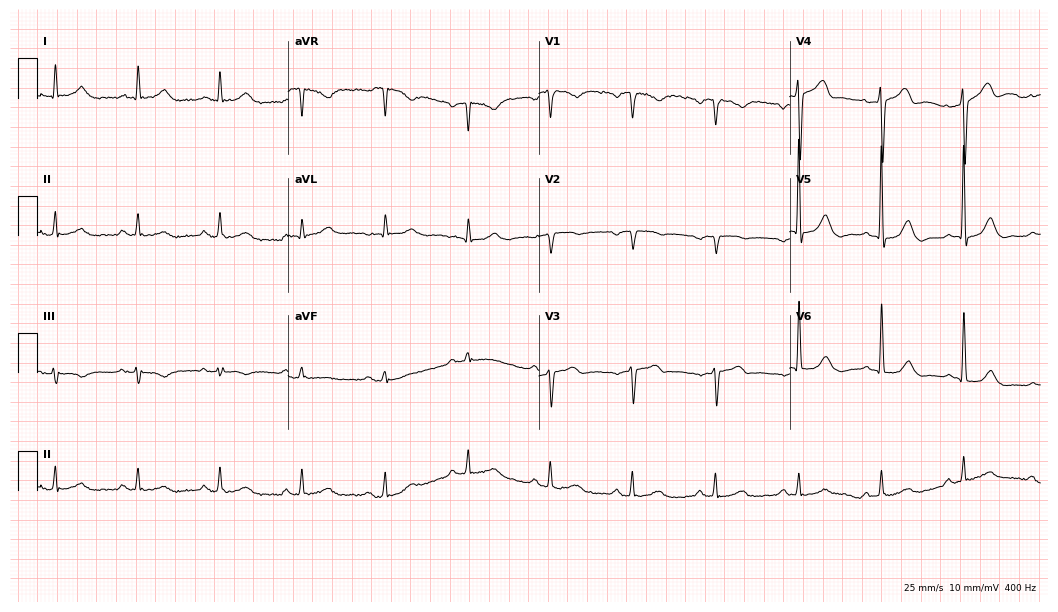
Resting 12-lead electrocardiogram (10.2-second recording at 400 Hz). Patient: a man, 74 years old. Read as a normal ECG.